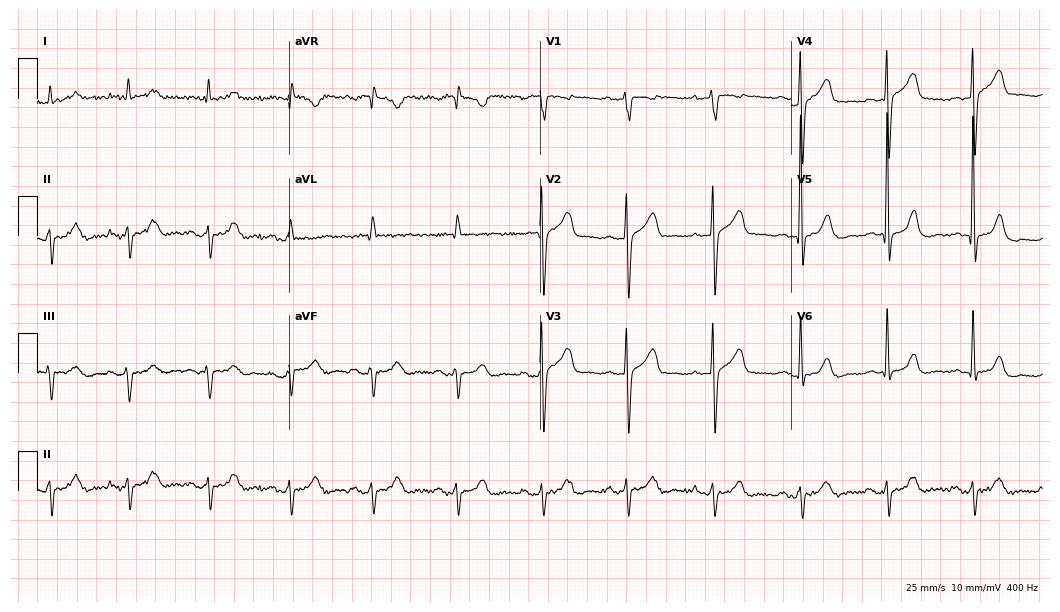
Standard 12-lead ECG recorded from a 70-year-old male patient (10.2-second recording at 400 Hz). None of these six findings is recorded: first-degree AV block, right bundle branch block, left bundle branch block, sinus bradycardia, atrial fibrillation, sinus tachycardia.